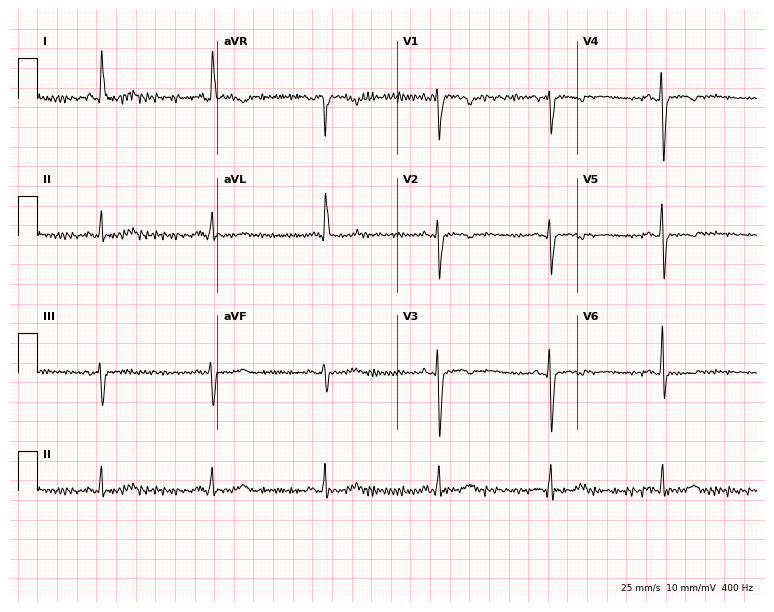
12-lead ECG from a 65-year-old female patient. No first-degree AV block, right bundle branch block, left bundle branch block, sinus bradycardia, atrial fibrillation or sinus tachycardia recorded for this tracing. Only these six findings were labelled.